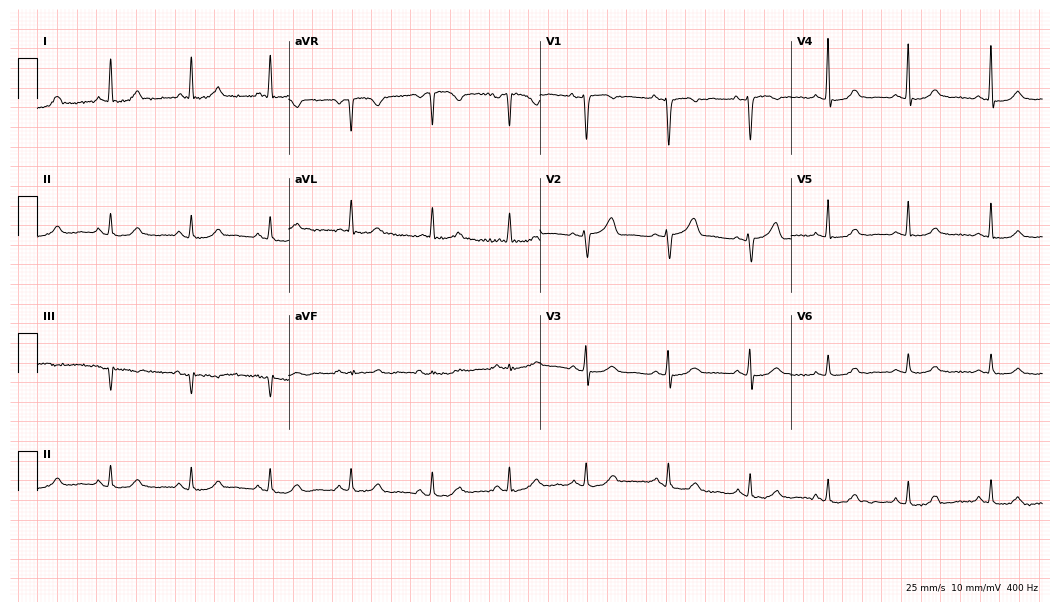
Resting 12-lead electrocardiogram (10.2-second recording at 400 Hz). Patient: a 60-year-old female. Read as a normal ECG.